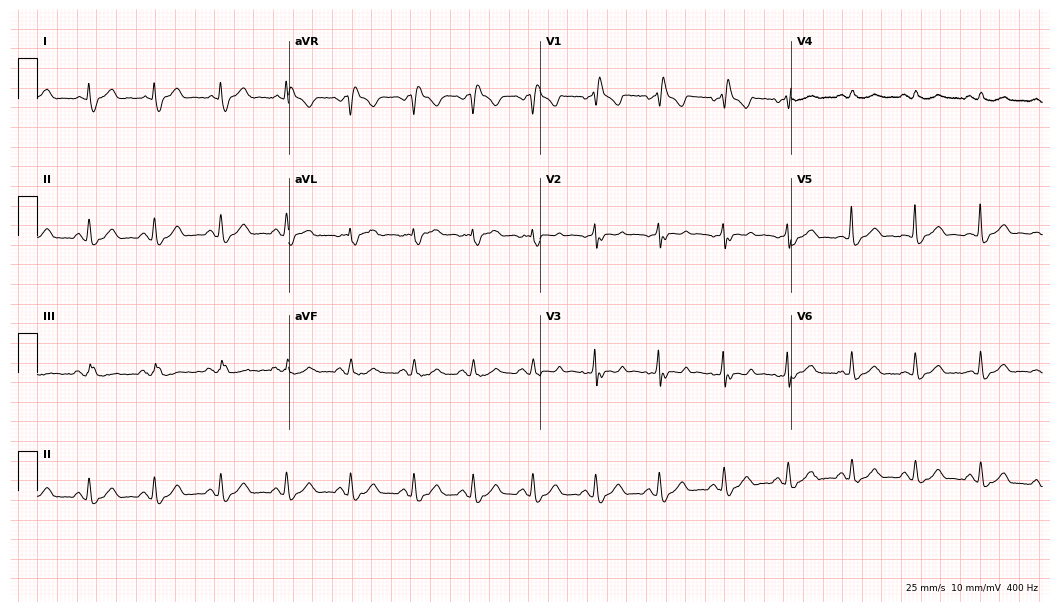
ECG (10.2-second recording at 400 Hz) — a female patient, 57 years old. Findings include right bundle branch block (RBBB).